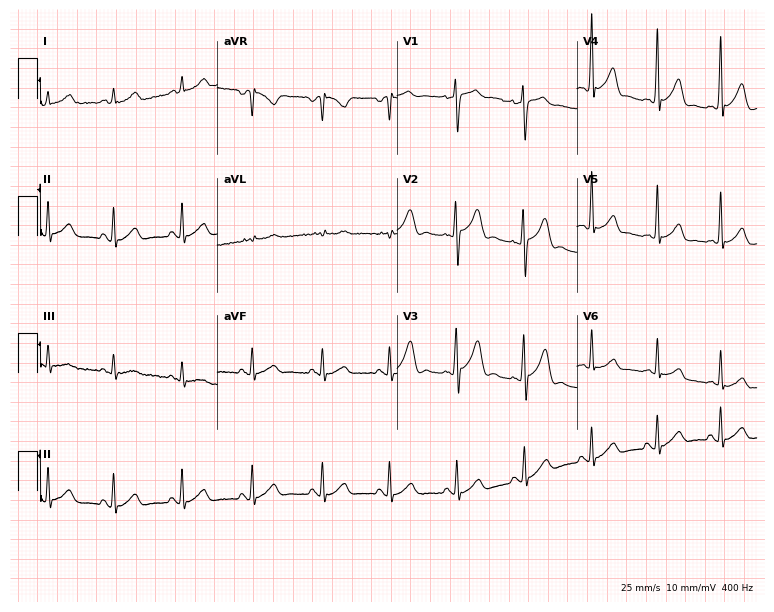
Resting 12-lead electrocardiogram. Patient: a 23-year-old man. None of these six findings is recorded: first-degree AV block, right bundle branch block, left bundle branch block, sinus bradycardia, atrial fibrillation, sinus tachycardia.